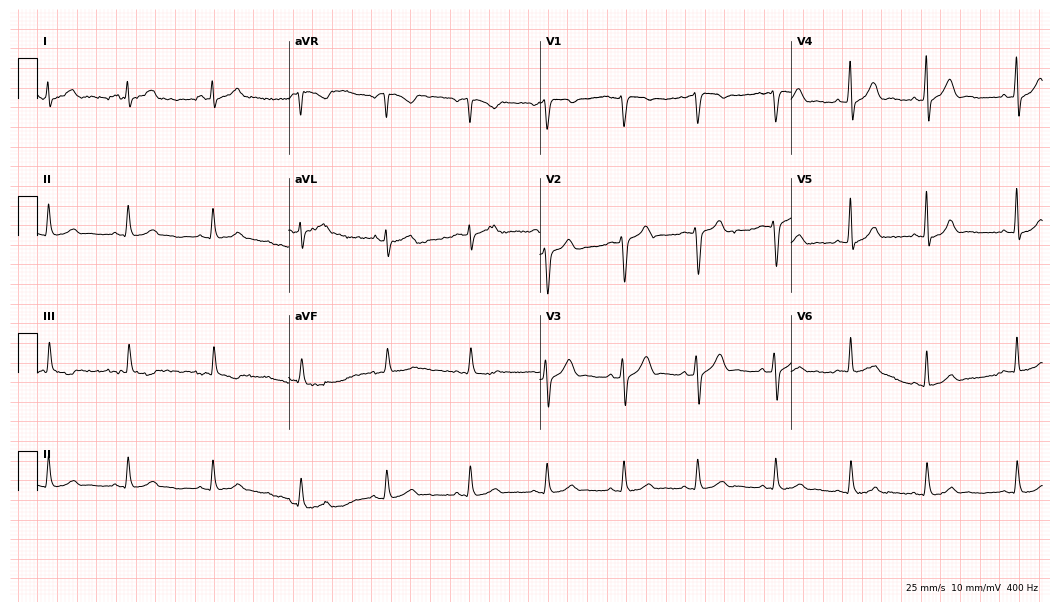
Standard 12-lead ECG recorded from a 29-year-old male patient. Read as a normal ECG.